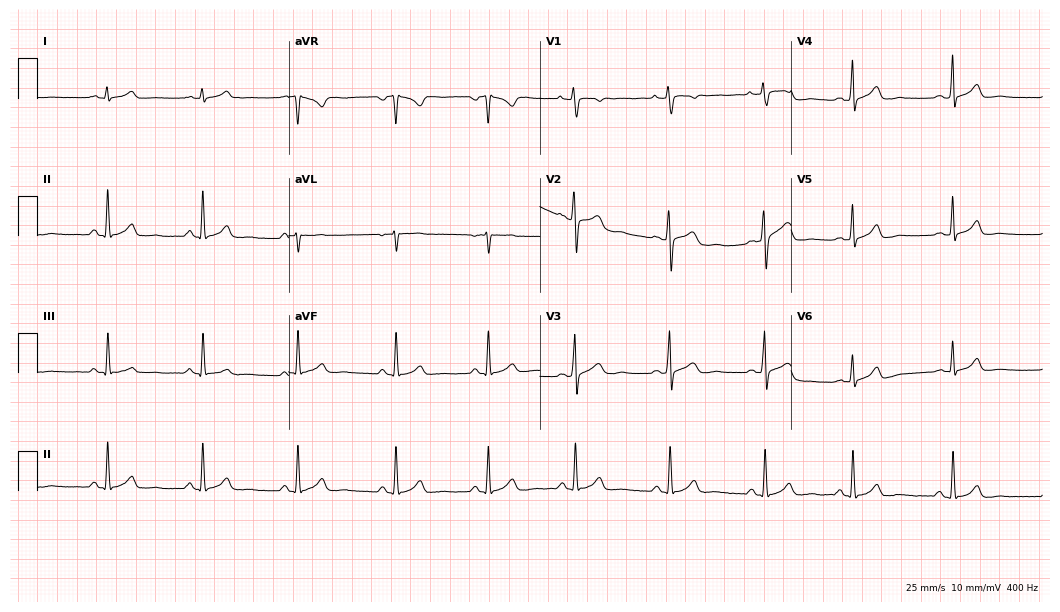
12-lead ECG from a 25-year-old female patient. Labelled as a normal ECG.